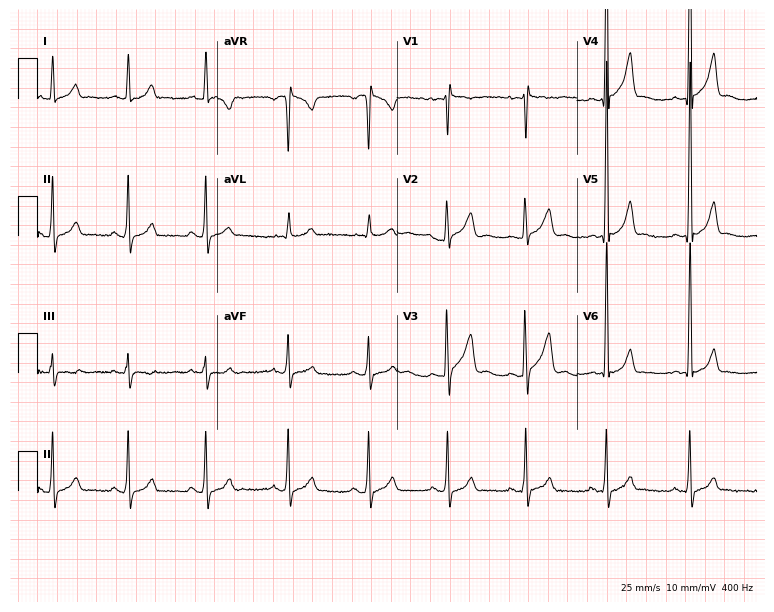
12-lead ECG (7.3-second recording at 400 Hz) from a male, 23 years old. Labelled as a normal ECG.